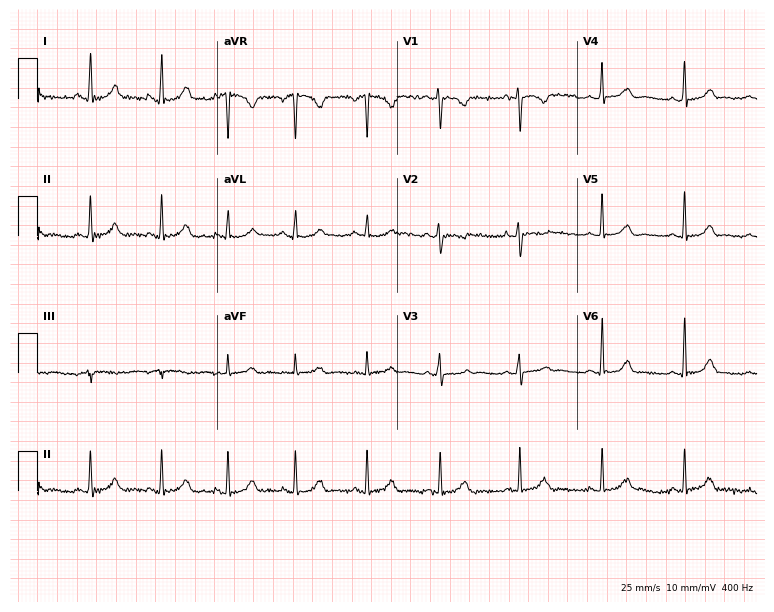
Electrocardiogram (7.3-second recording at 400 Hz), a 31-year-old female. Overall reading on record: normal ECG.